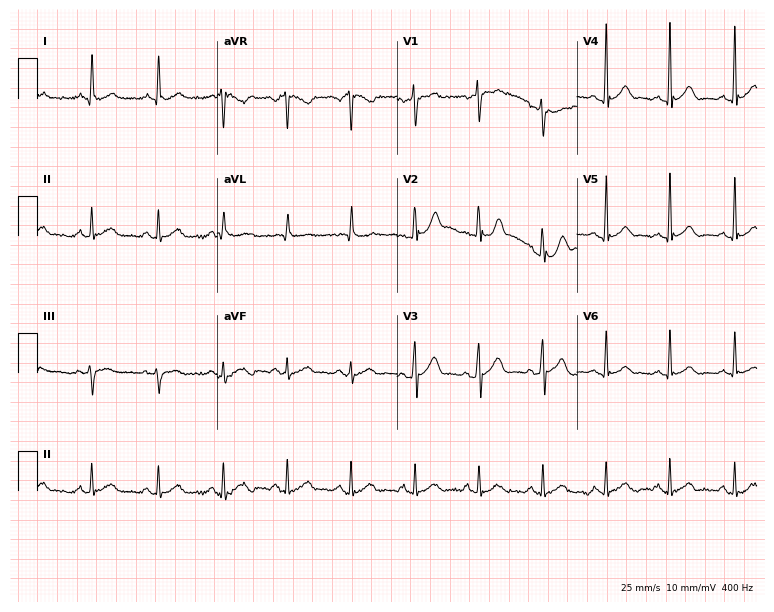
ECG (7.3-second recording at 400 Hz) — a man, 39 years old. Labelled as a normal ECG.